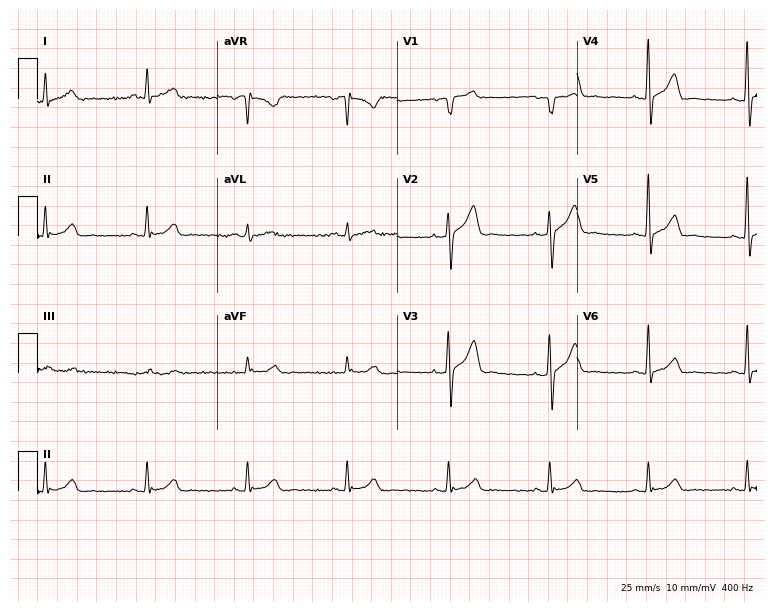
Electrocardiogram (7.3-second recording at 400 Hz), a male patient, 54 years old. Of the six screened findings (first-degree AV block, right bundle branch block, left bundle branch block, sinus bradycardia, atrial fibrillation, sinus tachycardia), none is recorded. Other findings, if any, are not listed.